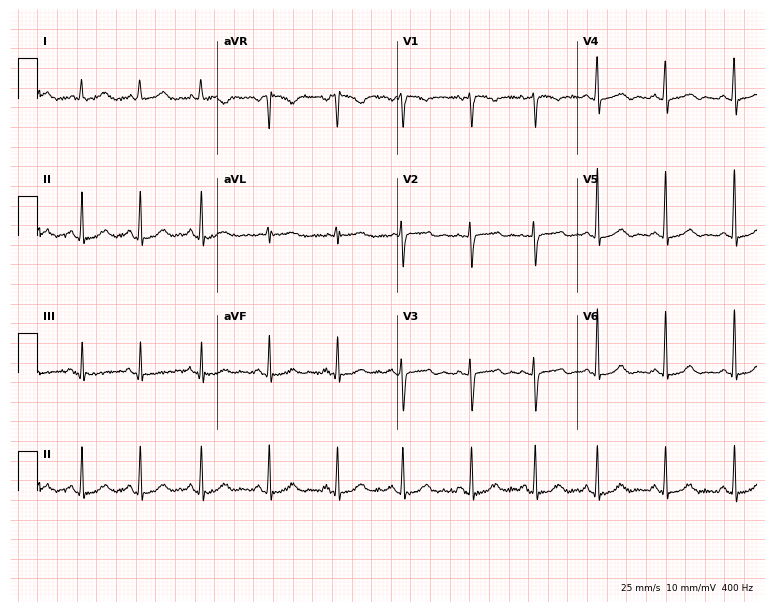
ECG (7.3-second recording at 400 Hz) — a 27-year-old female. Screened for six findings — first-degree AV block, right bundle branch block (RBBB), left bundle branch block (LBBB), sinus bradycardia, atrial fibrillation (AF), sinus tachycardia — none is recorded.